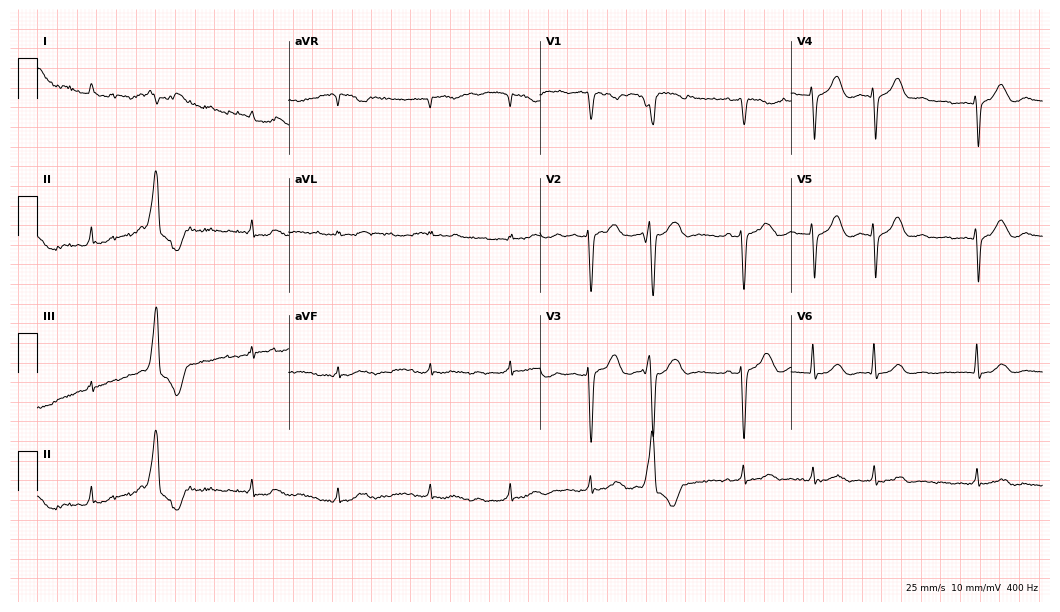
ECG — an 83-year-old male. Findings include first-degree AV block, atrial fibrillation (AF).